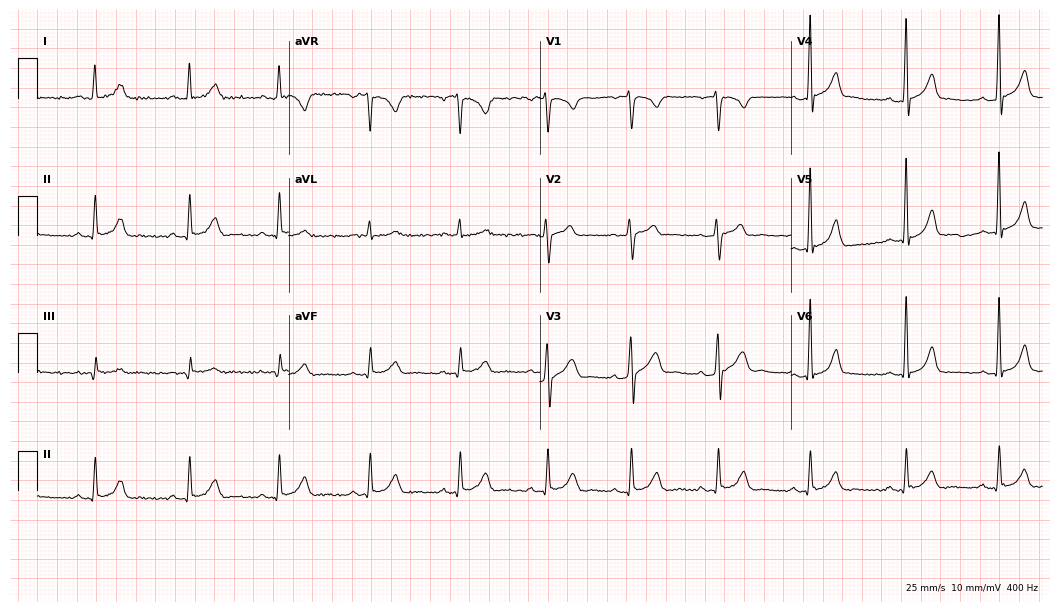
Standard 12-lead ECG recorded from a 29-year-old male. Read as a normal ECG.